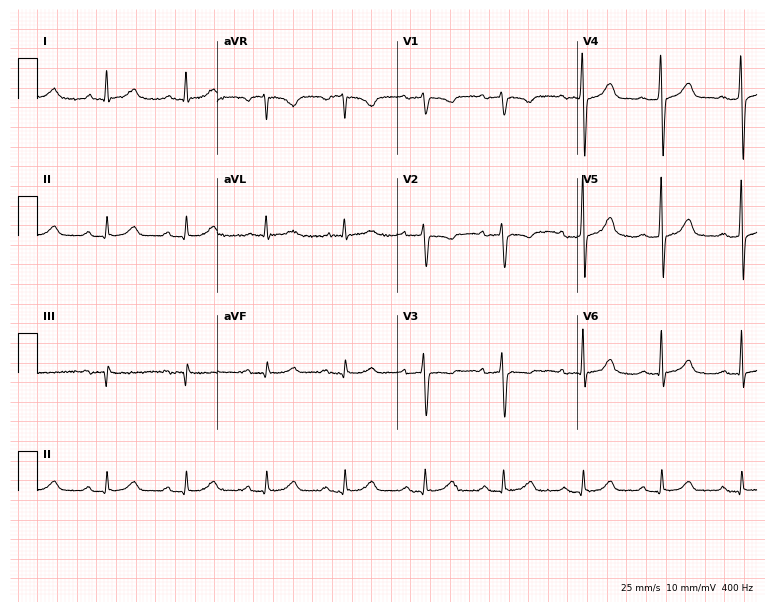
12-lead ECG from a man, 80 years old. Labelled as a normal ECG.